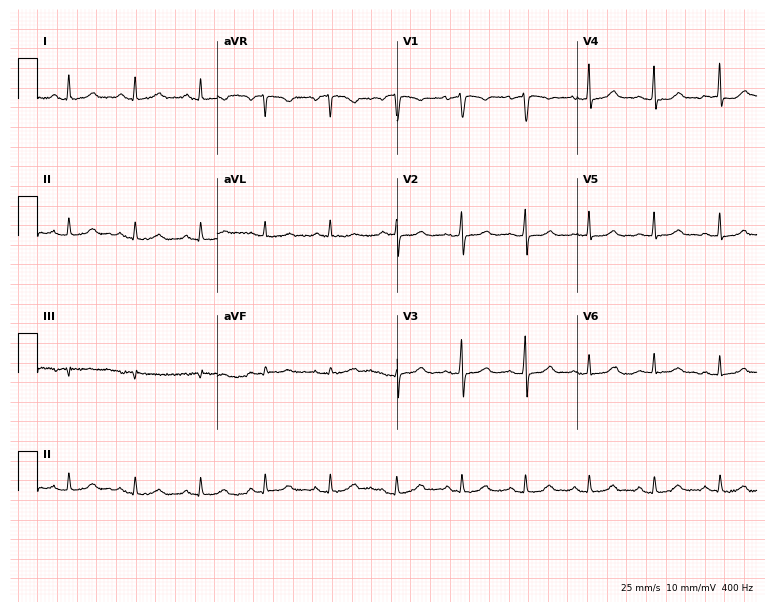
12-lead ECG from a 40-year-old female. Screened for six findings — first-degree AV block, right bundle branch block (RBBB), left bundle branch block (LBBB), sinus bradycardia, atrial fibrillation (AF), sinus tachycardia — none is recorded. Findings outside these six are not listed.